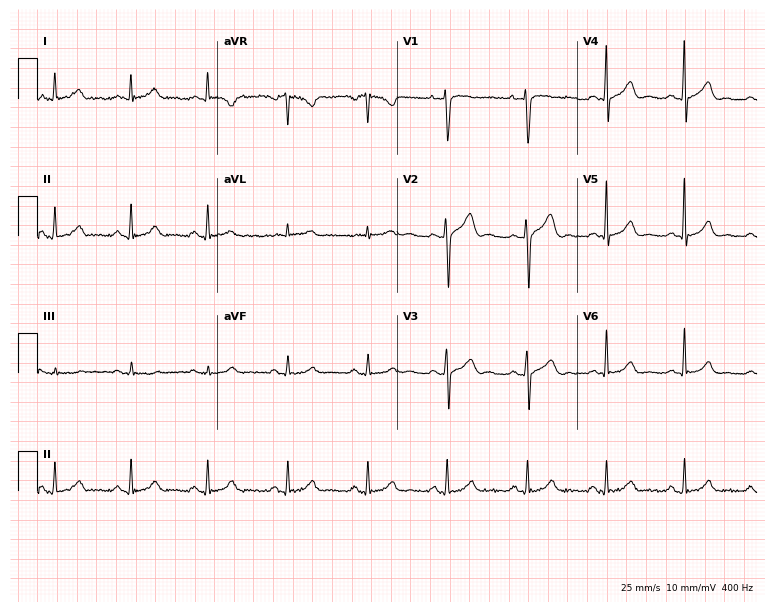
Electrocardiogram, a male patient, 52 years old. Overall reading on record: normal ECG.